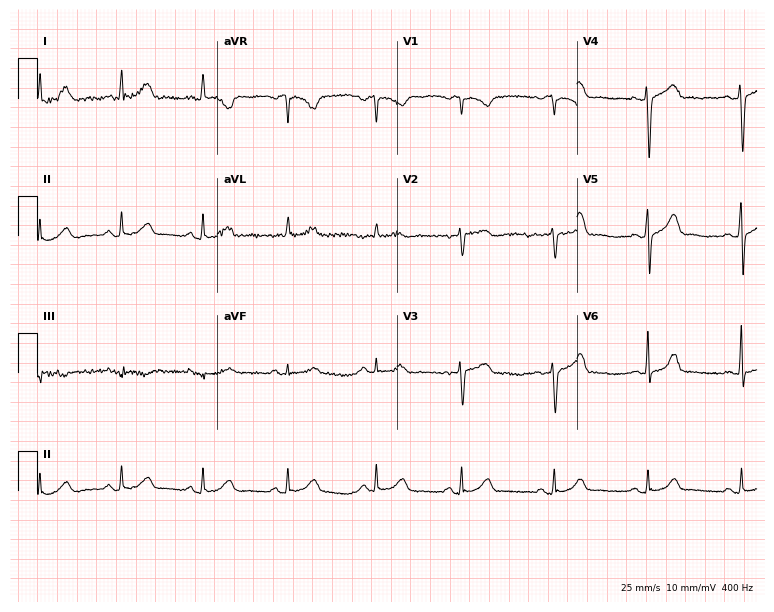
Electrocardiogram, a 47-year-old female. Overall reading on record: normal ECG.